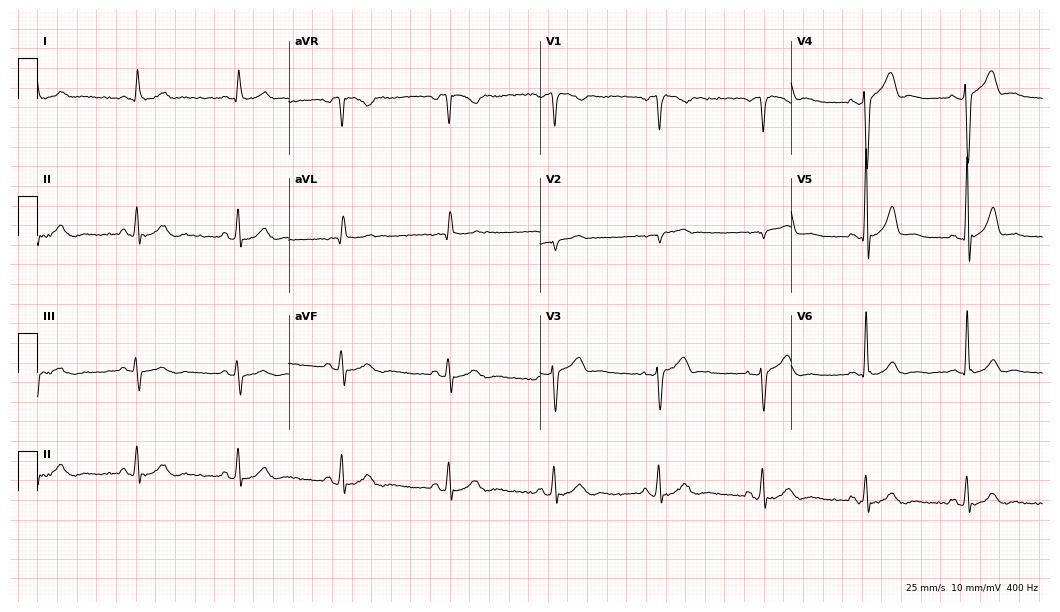
Resting 12-lead electrocardiogram. Patient: a 70-year-old male. Read as a normal ECG.